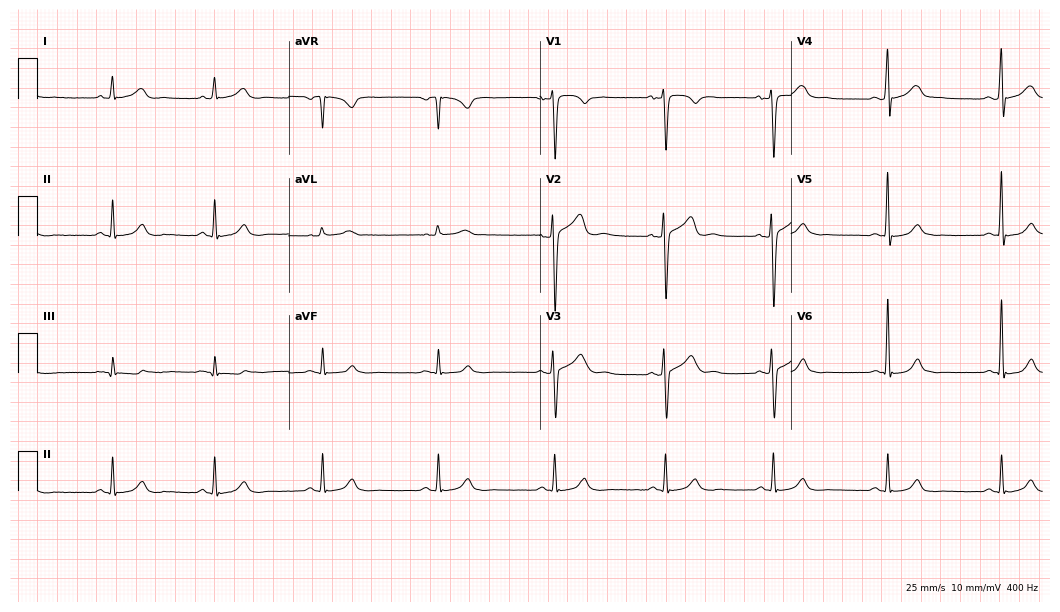
Standard 12-lead ECG recorded from a 39-year-old man. None of these six findings is recorded: first-degree AV block, right bundle branch block, left bundle branch block, sinus bradycardia, atrial fibrillation, sinus tachycardia. Other findings, if any, are not listed.